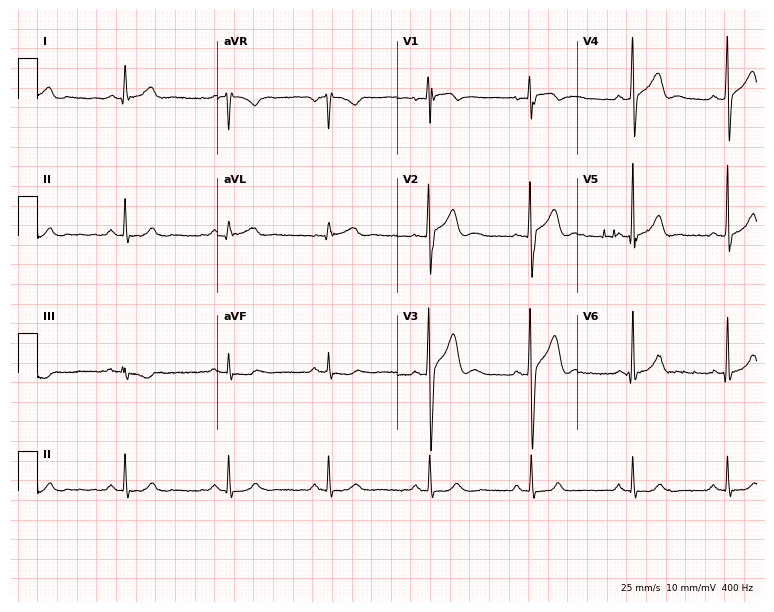
Resting 12-lead electrocardiogram (7.3-second recording at 400 Hz). Patient: a male, 28 years old. None of these six findings is recorded: first-degree AV block, right bundle branch block, left bundle branch block, sinus bradycardia, atrial fibrillation, sinus tachycardia.